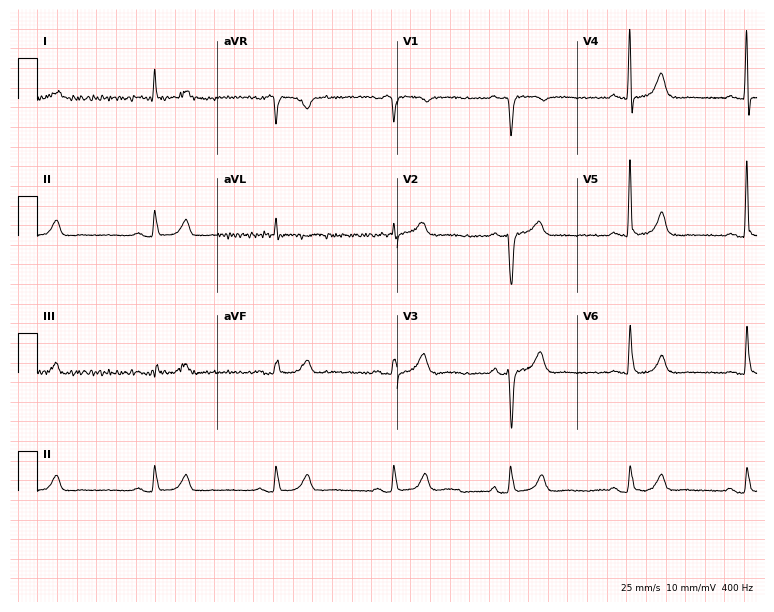
Resting 12-lead electrocardiogram (7.3-second recording at 400 Hz). Patient: a man, 72 years old. None of these six findings is recorded: first-degree AV block, right bundle branch block, left bundle branch block, sinus bradycardia, atrial fibrillation, sinus tachycardia. Findings outside these six are not listed.